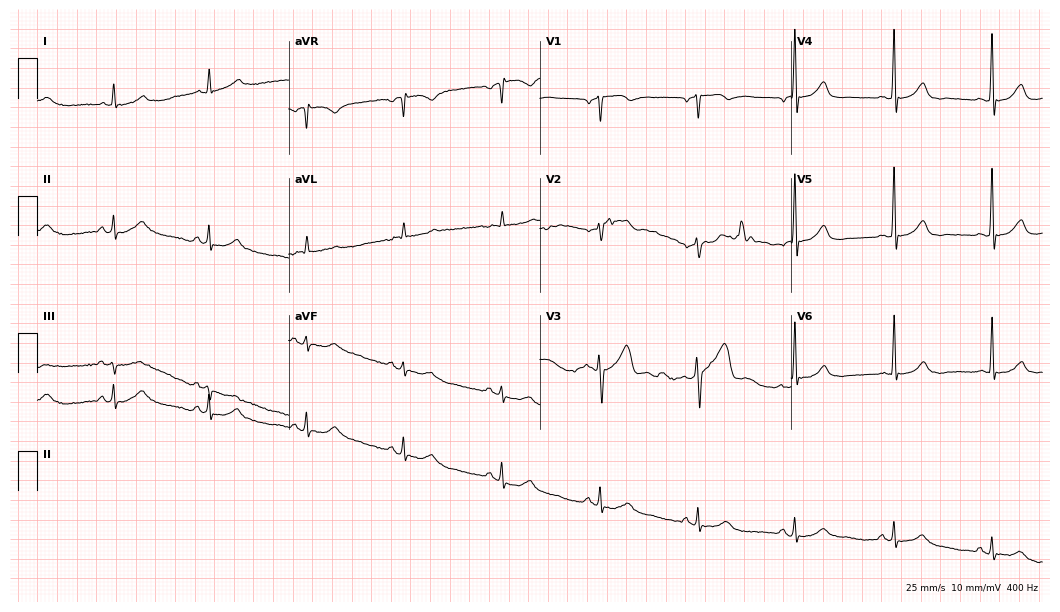
Electrocardiogram (10.2-second recording at 400 Hz), a male, 74 years old. Of the six screened findings (first-degree AV block, right bundle branch block (RBBB), left bundle branch block (LBBB), sinus bradycardia, atrial fibrillation (AF), sinus tachycardia), none is recorded.